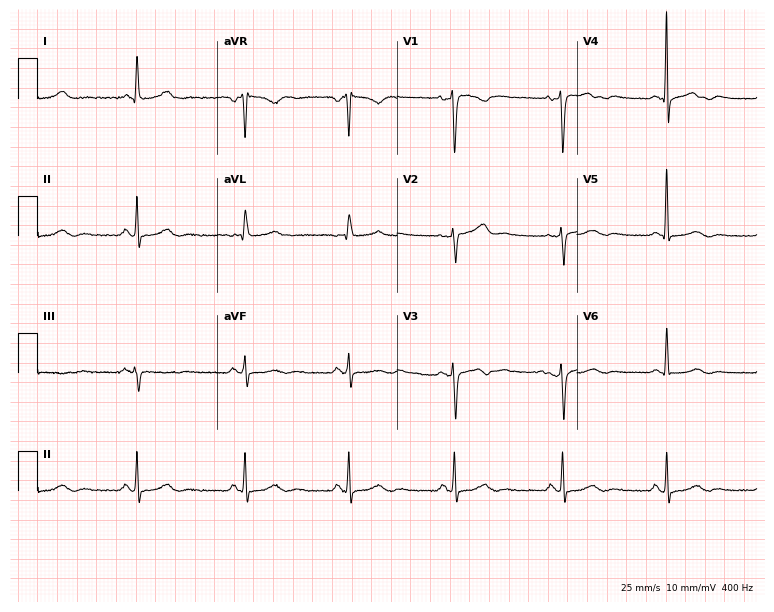
Resting 12-lead electrocardiogram. Patient: a woman, 50 years old. None of these six findings is recorded: first-degree AV block, right bundle branch block (RBBB), left bundle branch block (LBBB), sinus bradycardia, atrial fibrillation (AF), sinus tachycardia.